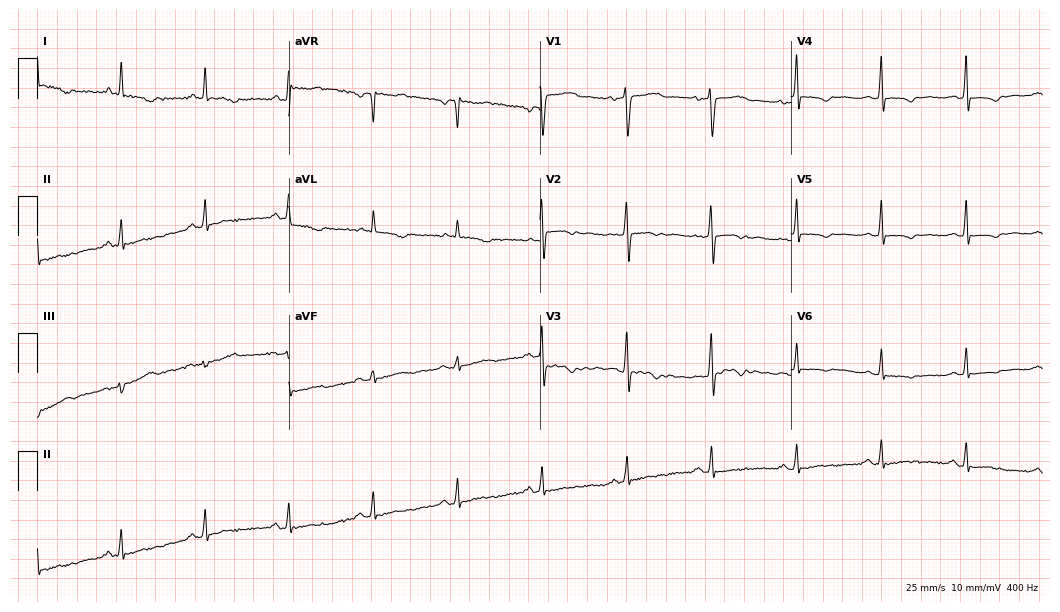
Resting 12-lead electrocardiogram (10.2-second recording at 400 Hz). Patient: a 66-year-old woman. None of these six findings is recorded: first-degree AV block, right bundle branch block, left bundle branch block, sinus bradycardia, atrial fibrillation, sinus tachycardia.